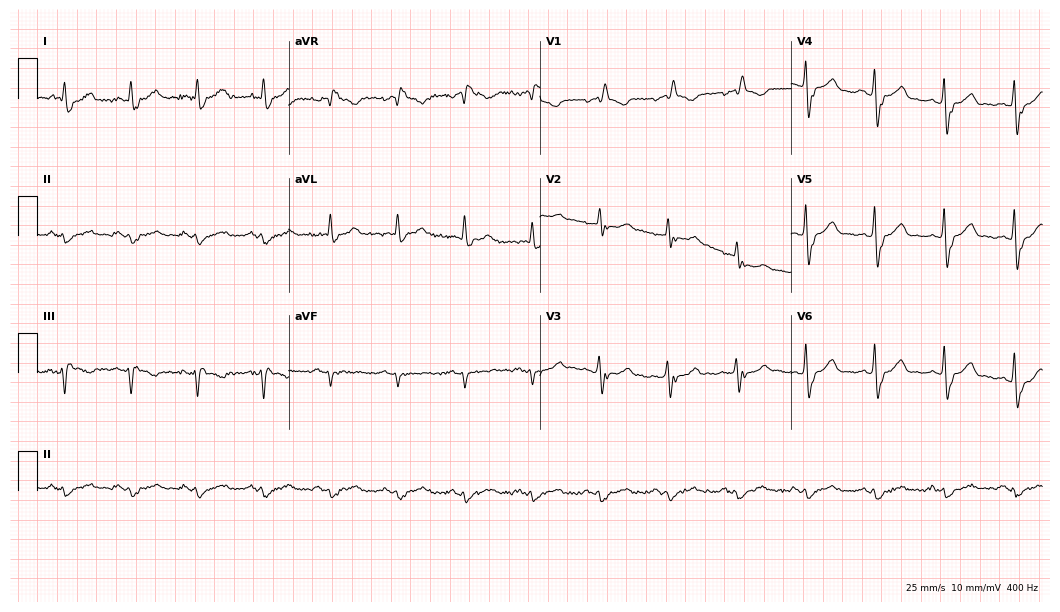
12-lead ECG from a male, 73 years old (10.2-second recording at 400 Hz). Shows right bundle branch block (RBBB).